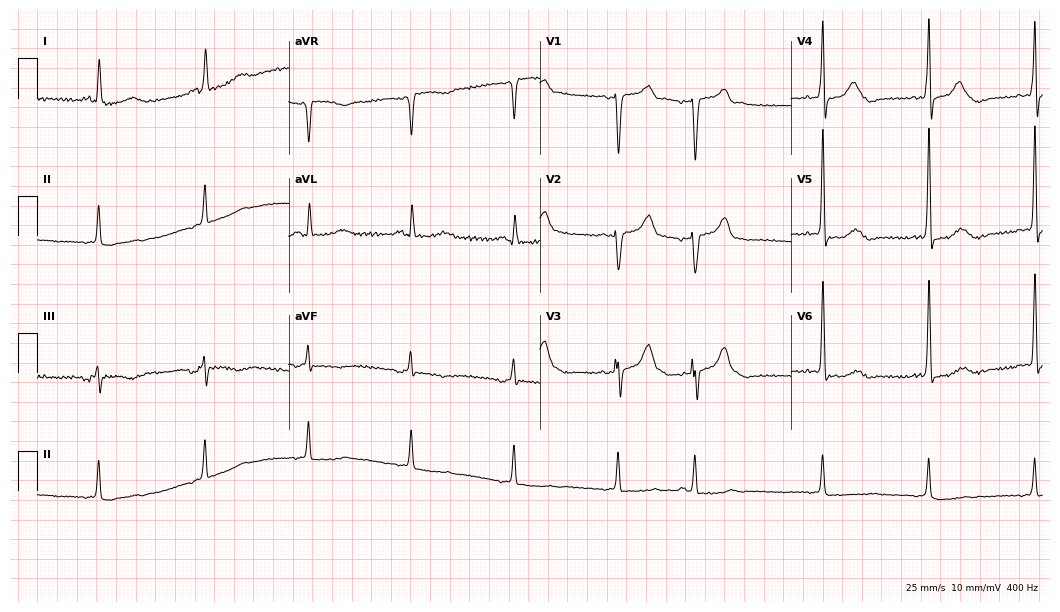
Standard 12-lead ECG recorded from a male, 73 years old (10.2-second recording at 400 Hz). None of these six findings is recorded: first-degree AV block, right bundle branch block, left bundle branch block, sinus bradycardia, atrial fibrillation, sinus tachycardia.